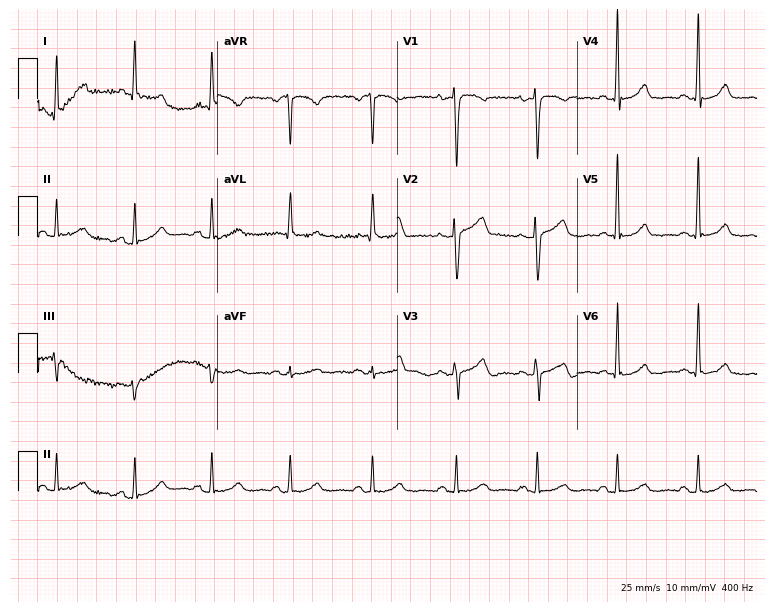
Resting 12-lead electrocardiogram (7.3-second recording at 400 Hz). Patient: a female, 58 years old. None of these six findings is recorded: first-degree AV block, right bundle branch block, left bundle branch block, sinus bradycardia, atrial fibrillation, sinus tachycardia. Other findings, if any, are not listed.